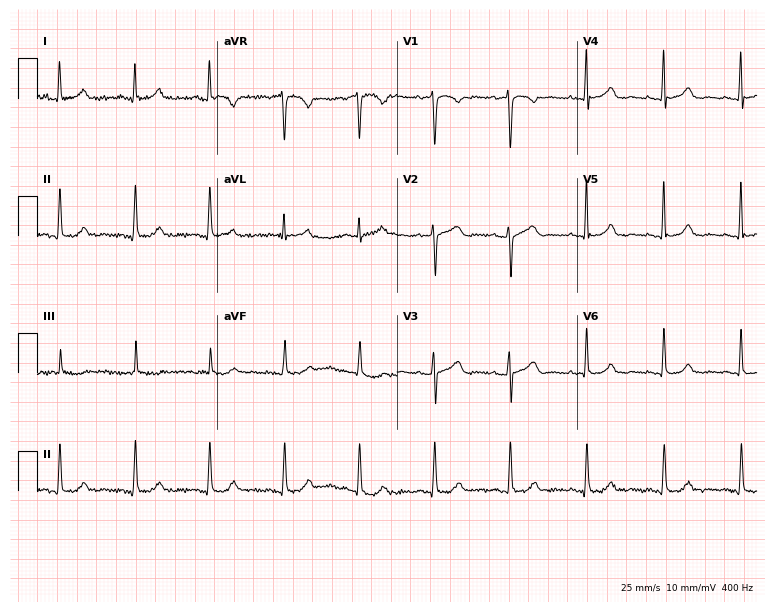
Standard 12-lead ECG recorded from a 57-year-old female patient (7.3-second recording at 400 Hz). Read as a normal ECG.